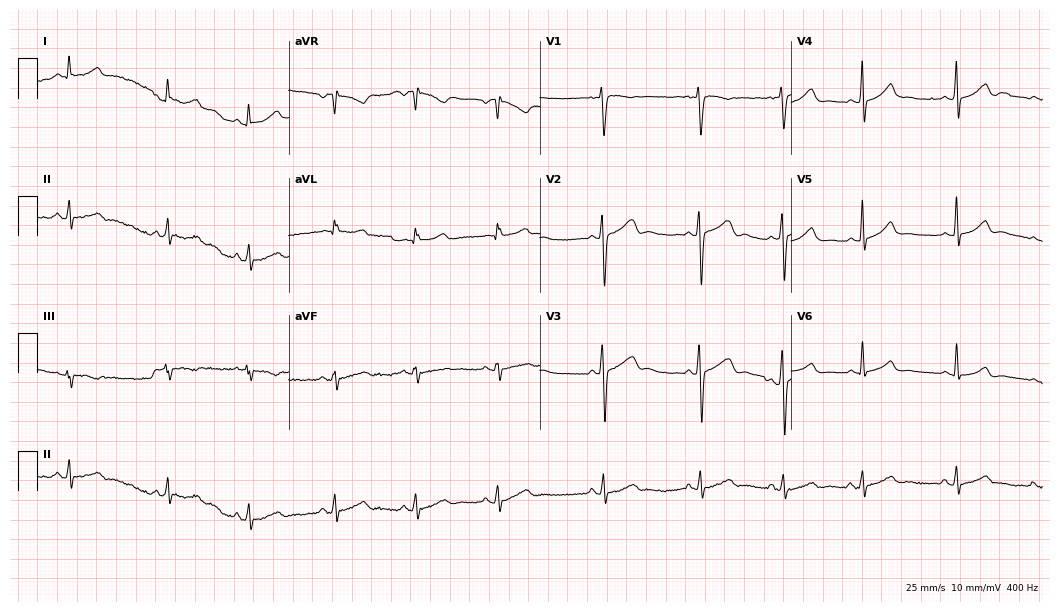
12-lead ECG from a 21-year-old woman. No first-degree AV block, right bundle branch block, left bundle branch block, sinus bradycardia, atrial fibrillation or sinus tachycardia recorded for this tracing. Other findings, if any, are not listed.